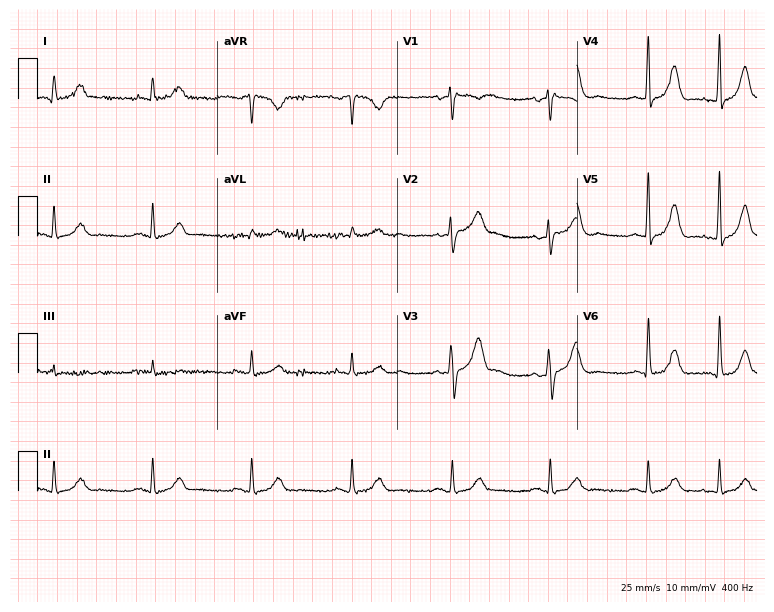
Resting 12-lead electrocardiogram (7.3-second recording at 400 Hz). Patient: a male, 71 years old. Read as a normal ECG.